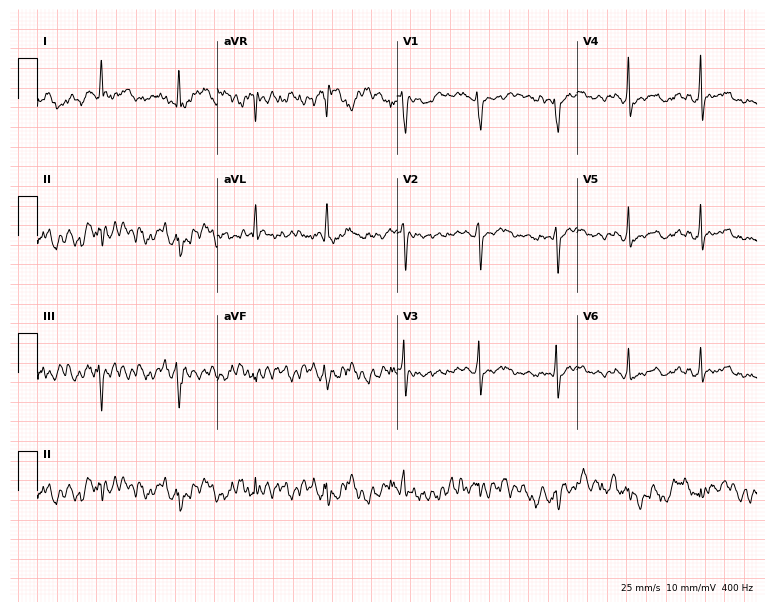
Resting 12-lead electrocardiogram. Patient: a 31-year-old female. Read as a normal ECG.